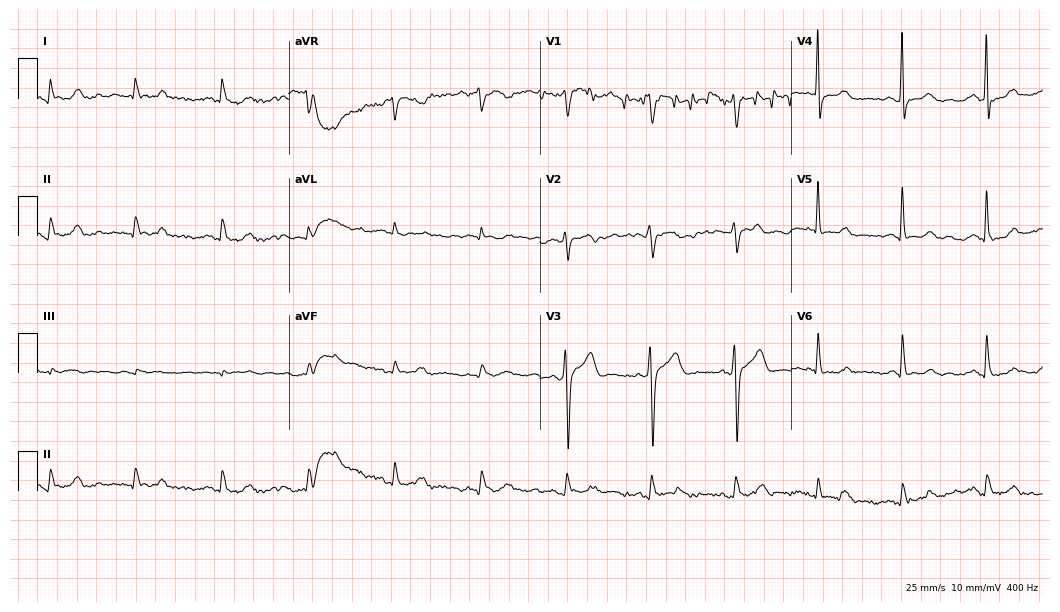
Standard 12-lead ECG recorded from a 66-year-old male (10.2-second recording at 400 Hz). Read as a normal ECG.